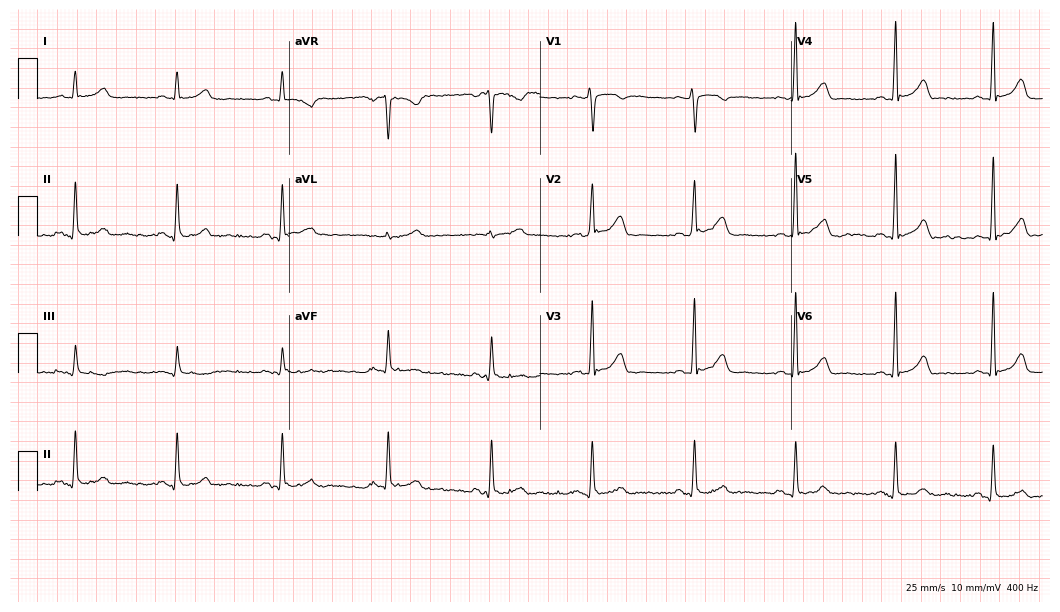
Electrocardiogram (10.2-second recording at 400 Hz), a man, 41 years old. Overall reading on record: normal ECG.